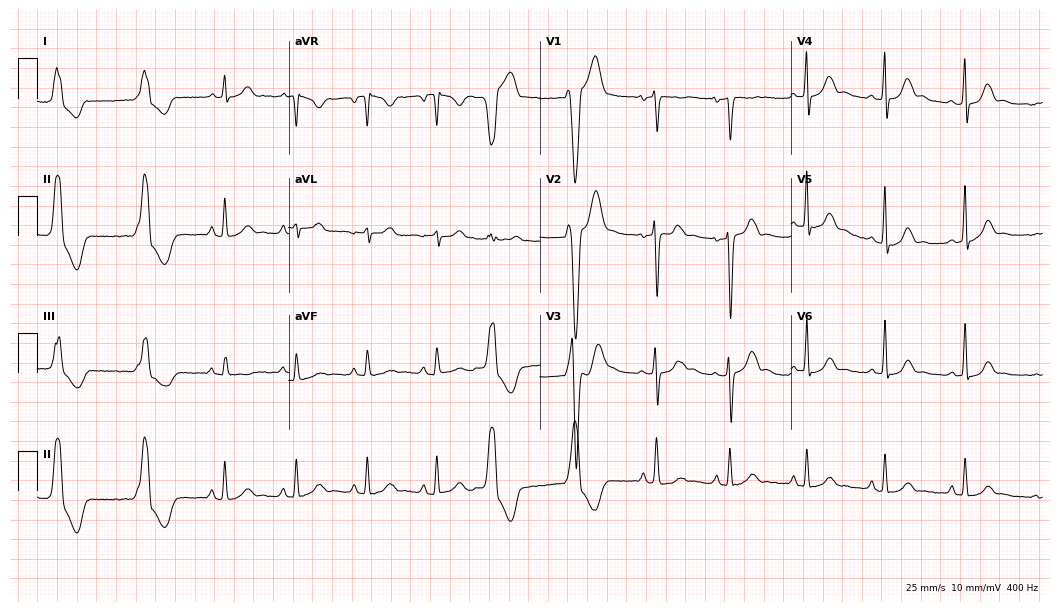
Electrocardiogram, a 36-year-old female. Of the six screened findings (first-degree AV block, right bundle branch block, left bundle branch block, sinus bradycardia, atrial fibrillation, sinus tachycardia), none is recorded. Other findings, if any, are not listed.